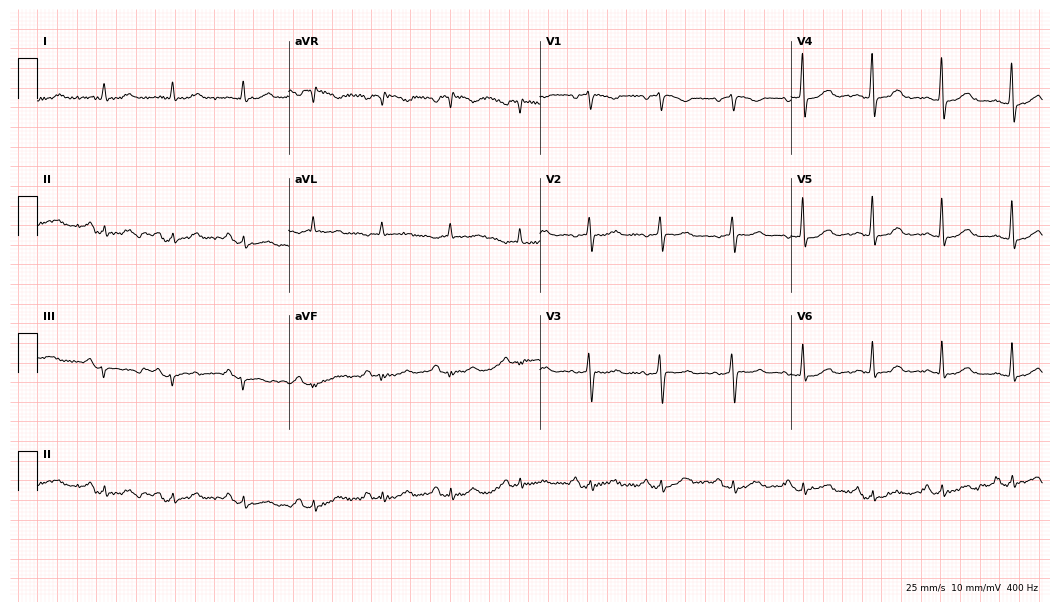
ECG (10.2-second recording at 400 Hz) — a 50-year-old female. Screened for six findings — first-degree AV block, right bundle branch block (RBBB), left bundle branch block (LBBB), sinus bradycardia, atrial fibrillation (AF), sinus tachycardia — none is recorded.